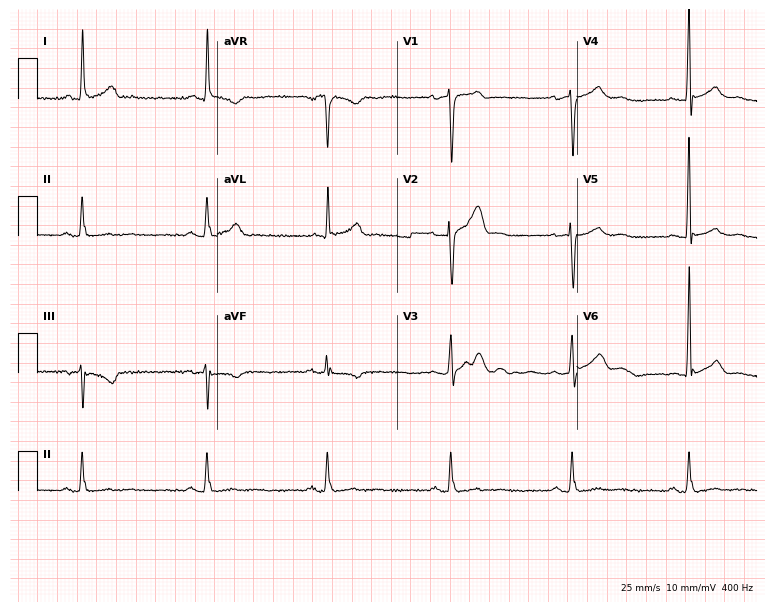
Electrocardiogram (7.3-second recording at 400 Hz), a male patient, 49 years old. Interpretation includes sinus bradycardia (a sinus rate of 50 beats per minute or less).